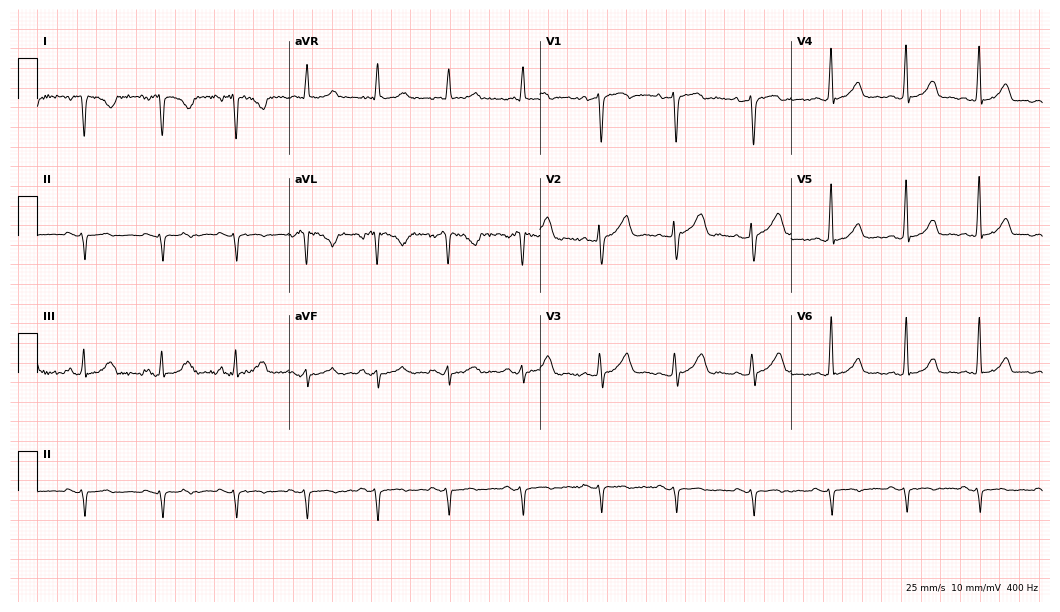
12-lead ECG from a female patient, 40 years old (10.2-second recording at 400 Hz). No first-degree AV block, right bundle branch block, left bundle branch block, sinus bradycardia, atrial fibrillation or sinus tachycardia recorded for this tracing.